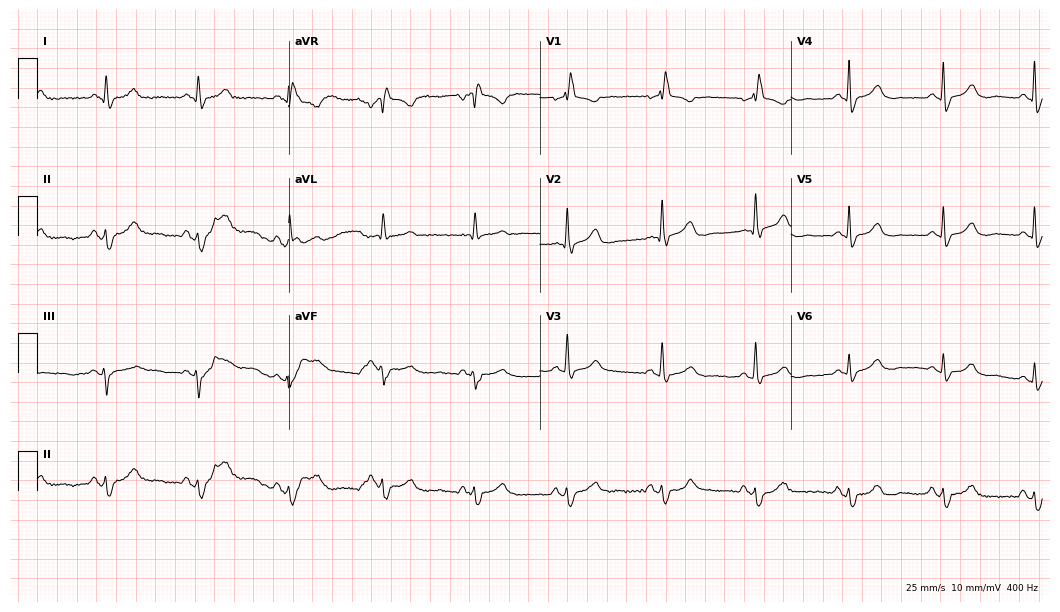
Resting 12-lead electrocardiogram (10.2-second recording at 400 Hz). Patient: a woman, 84 years old. The tracing shows right bundle branch block.